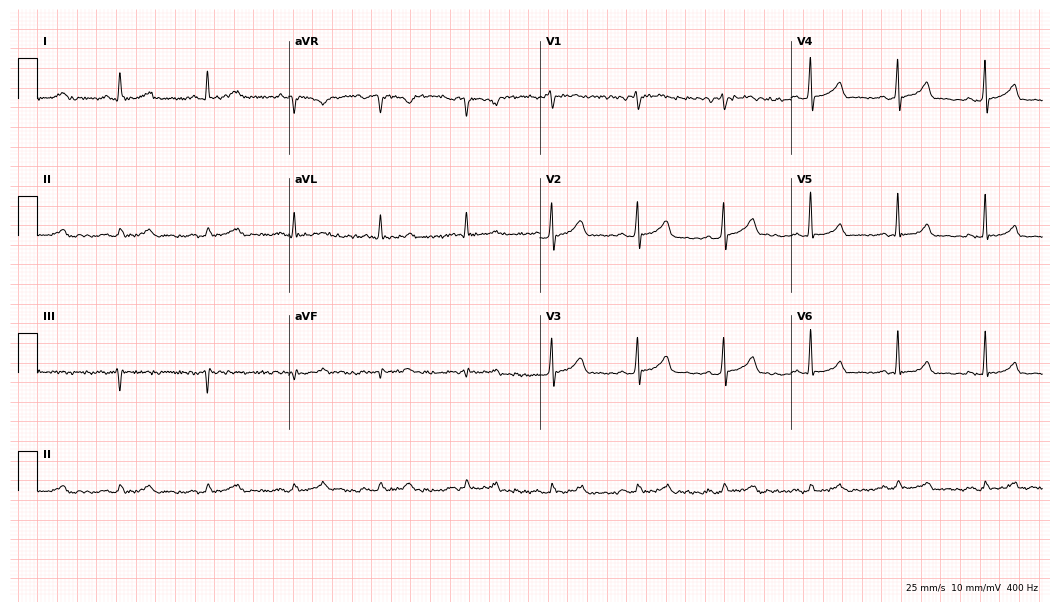
12-lead ECG from a 47-year-old male patient. No first-degree AV block, right bundle branch block, left bundle branch block, sinus bradycardia, atrial fibrillation or sinus tachycardia recorded for this tracing. Findings outside these six are not listed.